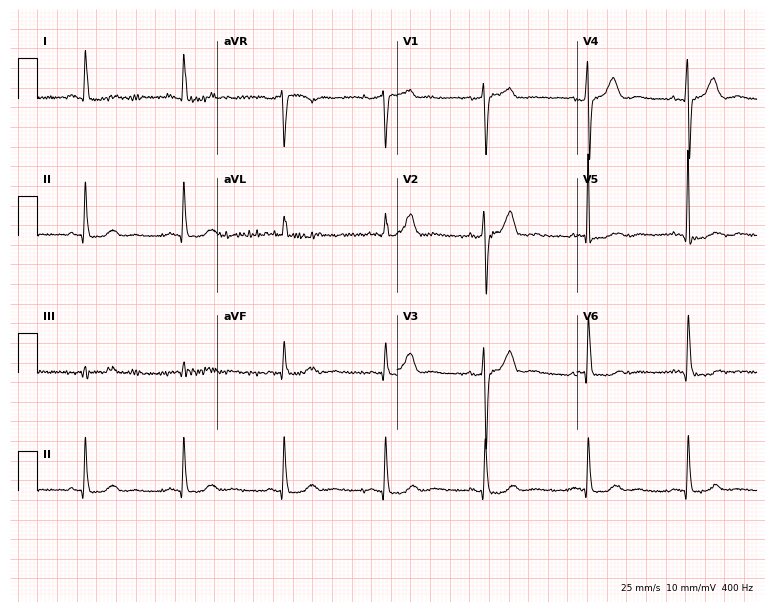
ECG — a 54-year-old woman. Screened for six findings — first-degree AV block, right bundle branch block (RBBB), left bundle branch block (LBBB), sinus bradycardia, atrial fibrillation (AF), sinus tachycardia — none is recorded.